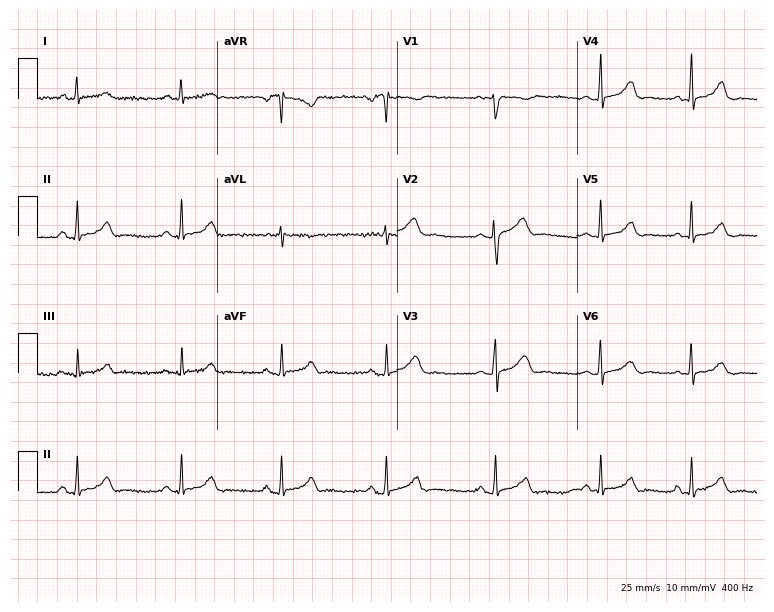
Electrocardiogram, a 22-year-old female patient. Of the six screened findings (first-degree AV block, right bundle branch block, left bundle branch block, sinus bradycardia, atrial fibrillation, sinus tachycardia), none is recorded.